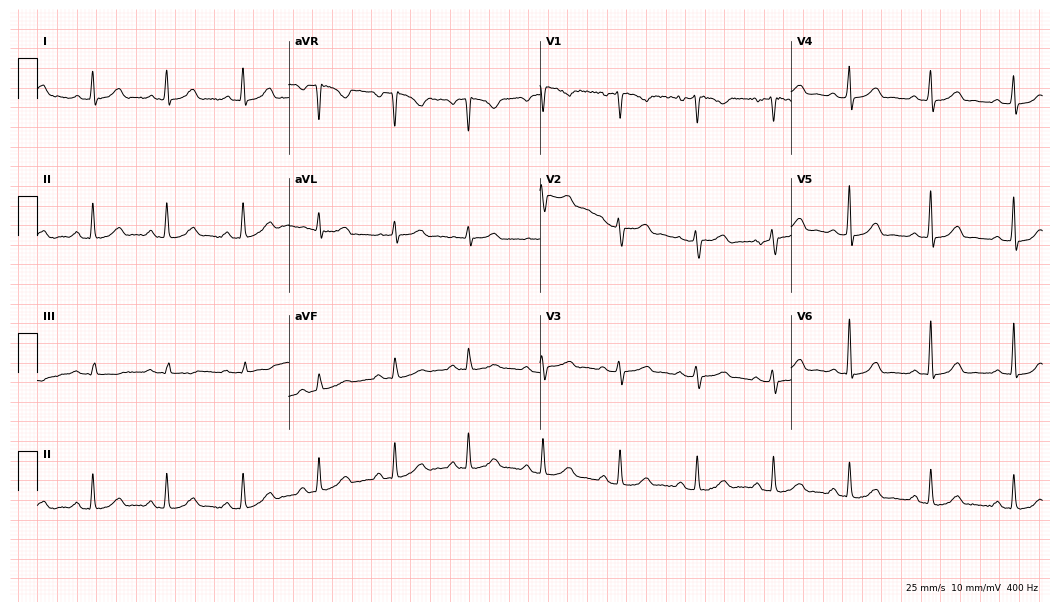
12-lead ECG from a 45-year-old woman. Labelled as a normal ECG.